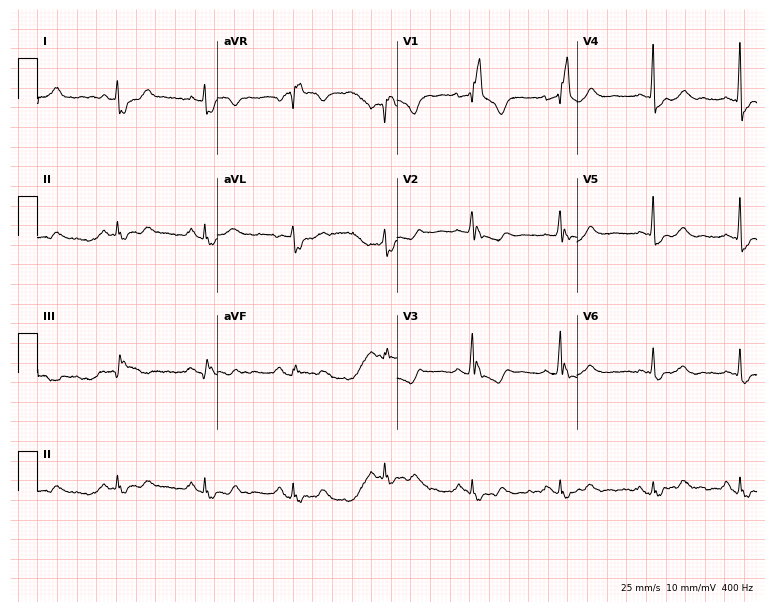
ECG — a female, 65 years old. Findings include right bundle branch block.